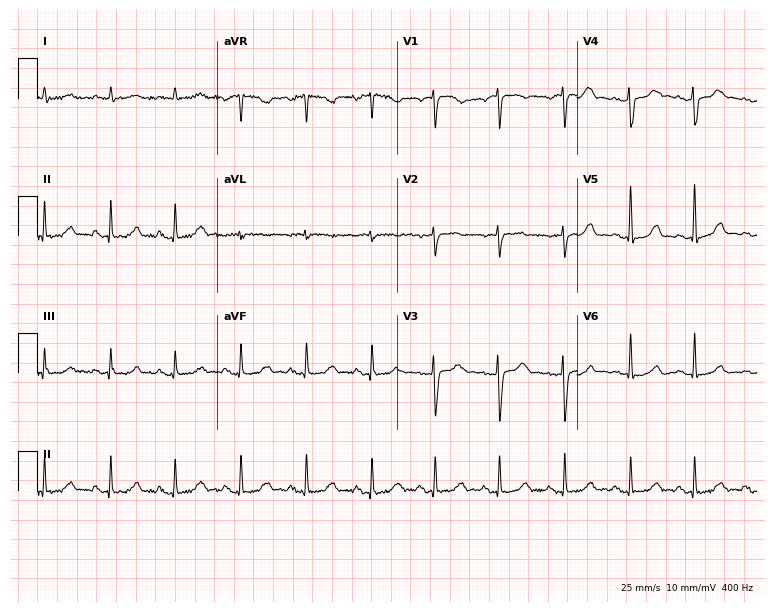
Electrocardiogram, a 54-year-old female. Of the six screened findings (first-degree AV block, right bundle branch block (RBBB), left bundle branch block (LBBB), sinus bradycardia, atrial fibrillation (AF), sinus tachycardia), none is recorded.